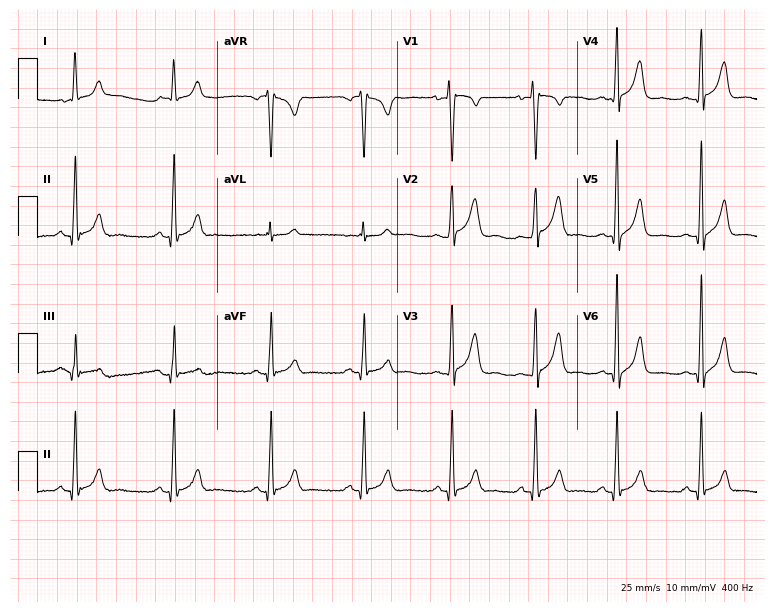
ECG (7.3-second recording at 400 Hz) — a male, 21 years old. Screened for six findings — first-degree AV block, right bundle branch block, left bundle branch block, sinus bradycardia, atrial fibrillation, sinus tachycardia — none is recorded.